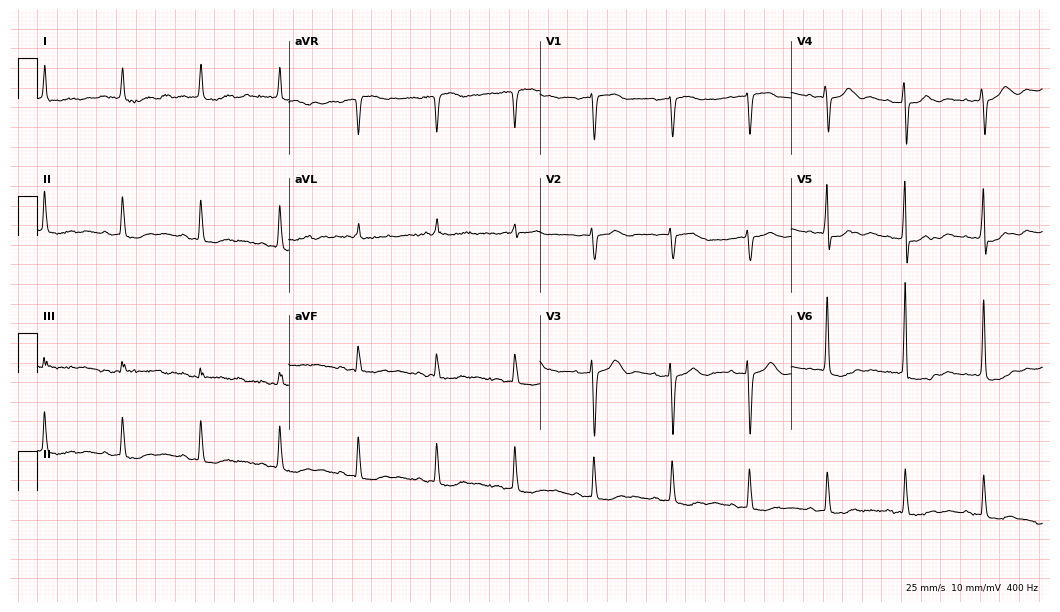
Resting 12-lead electrocardiogram. Patient: an 85-year-old female. None of these six findings is recorded: first-degree AV block, right bundle branch block, left bundle branch block, sinus bradycardia, atrial fibrillation, sinus tachycardia. Other findings, if any, are not listed.